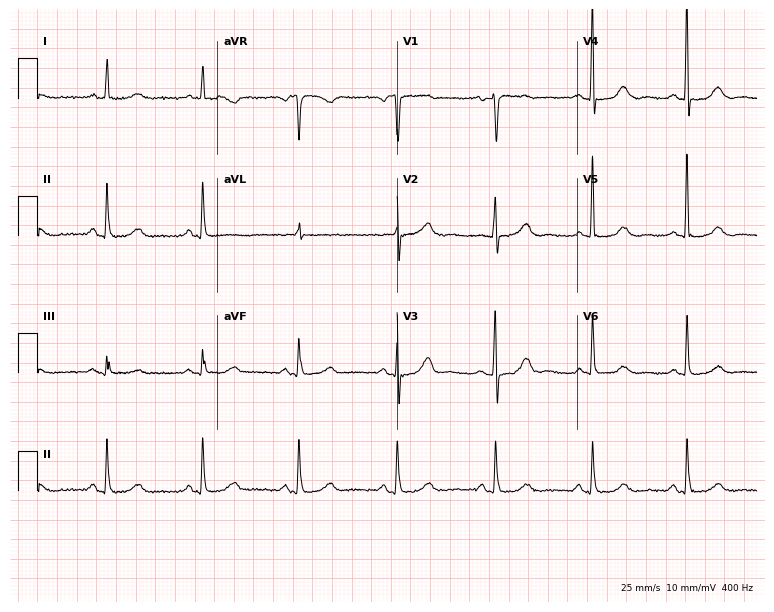
Standard 12-lead ECG recorded from a 74-year-old female patient (7.3-second recording at 400 Hz). Read as a normal ECG.